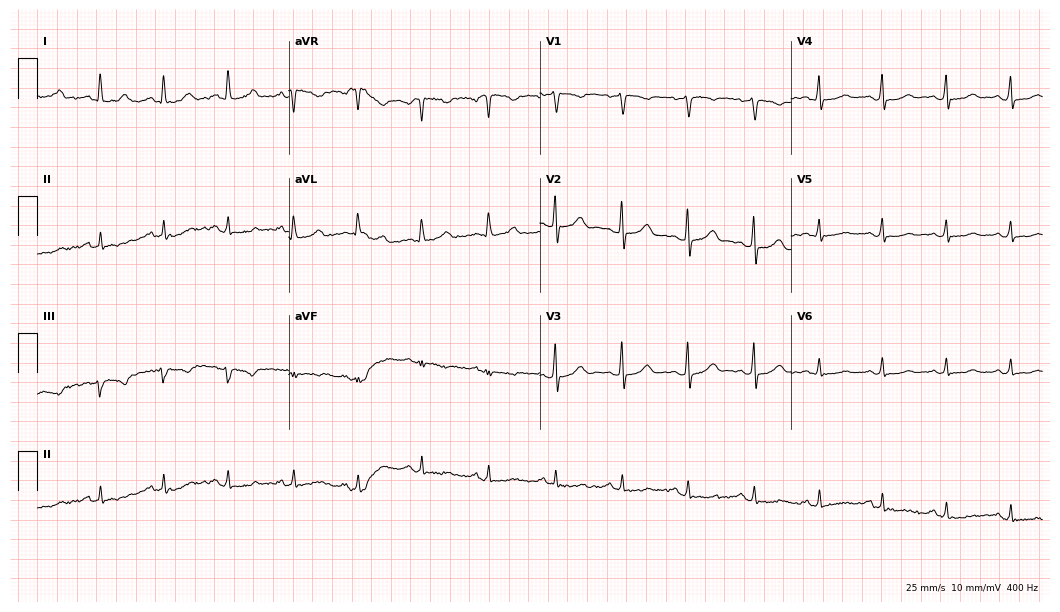
12-lead ECG from a 44-year-old female. Recorded interpretation: within normal limits.